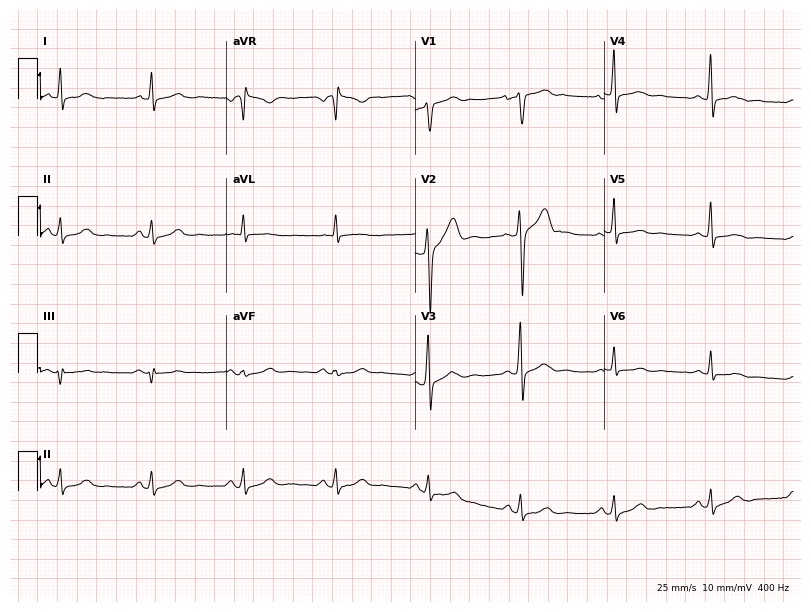
Resting 12-lead electrocardiogram (7.7-second recording at 400 Hz). Patient: a 49-year-old male. Read as a normal ECG.